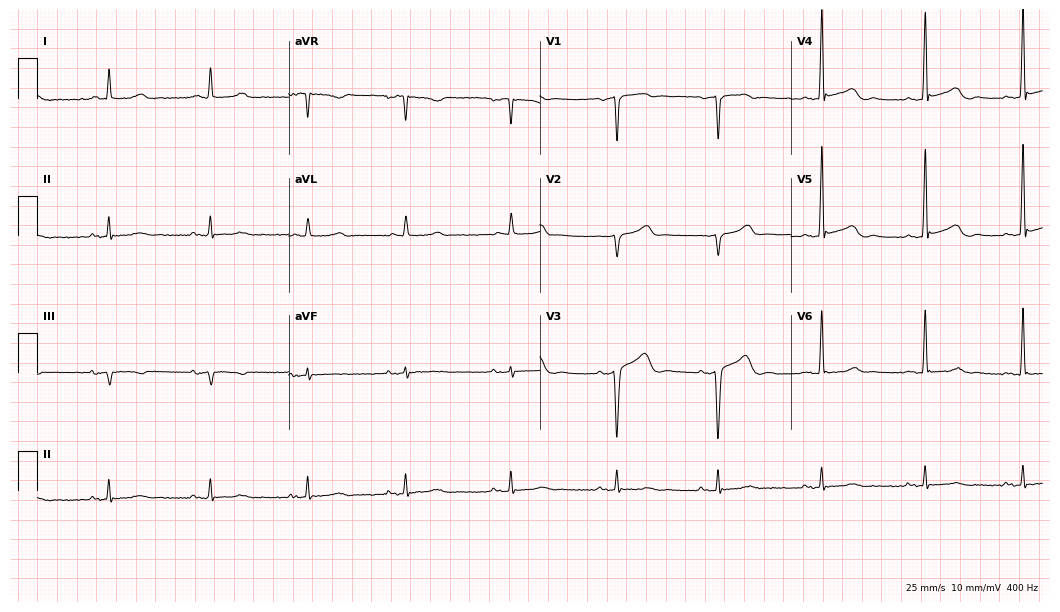
12-lead ECG from a male, 70 years old. Screened for six findings — first-degree AV block, right bundle branch block, left bundle branch block, sinus bradycardia, atrial fibrillation, sinus tachycardia — none is recorded. Only these six findings were labelled.